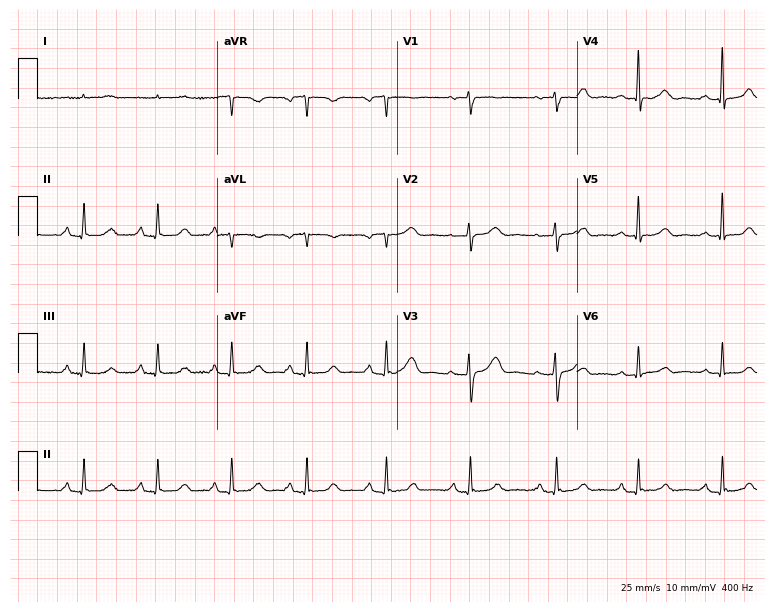
12-lead ECG from a 37-year-old woman. Recorded interpretation: within normal limits.